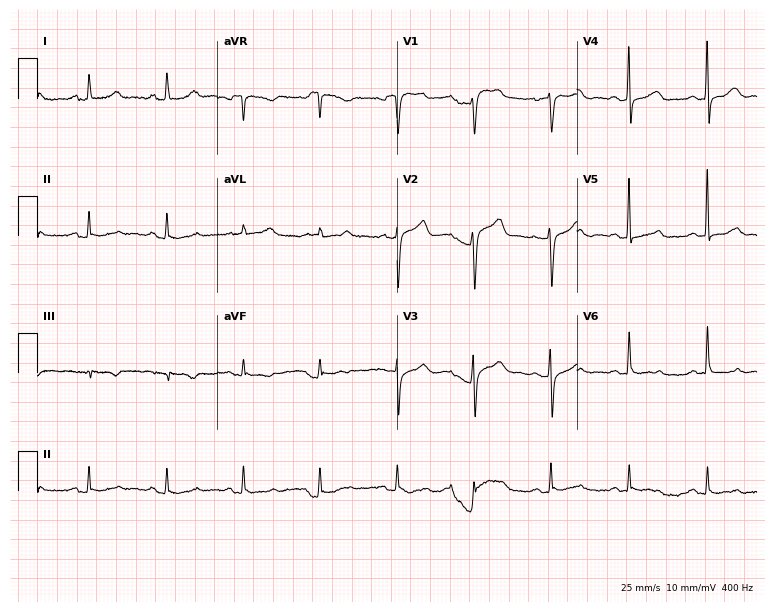
Electrocardiogram, a woman, 85 years old. Overall reading on record: normal ECG.